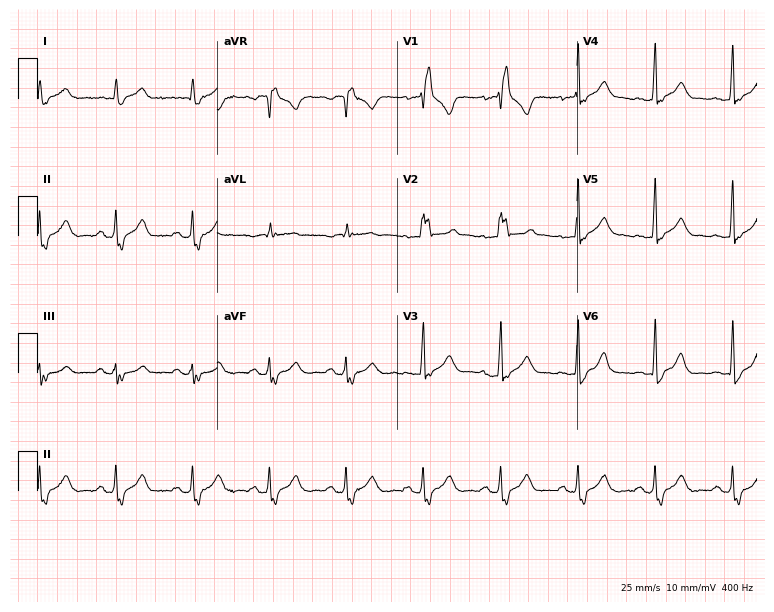
ECG (7.3-second recording at 400 Hz) — a 41-year-old man. Findings include right bundle branch block.